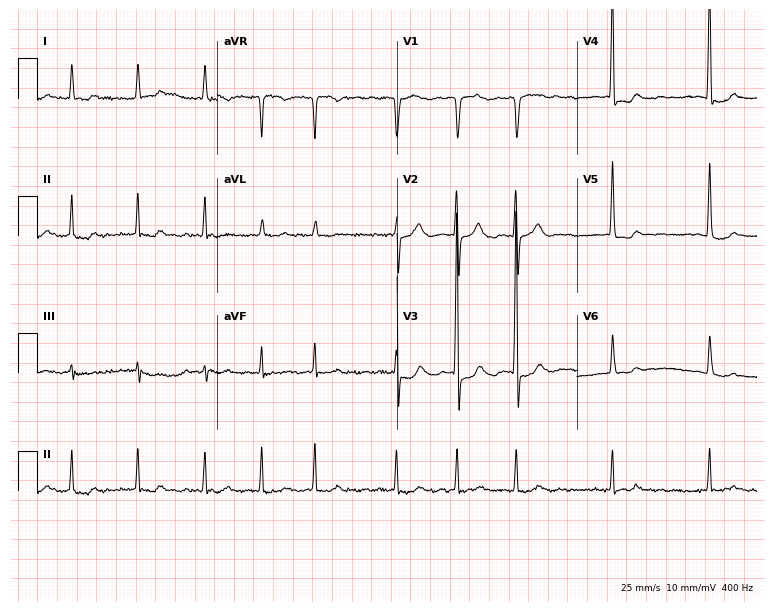
ECG — a female patient, 80 years old. Findings include atrial fibrillation.